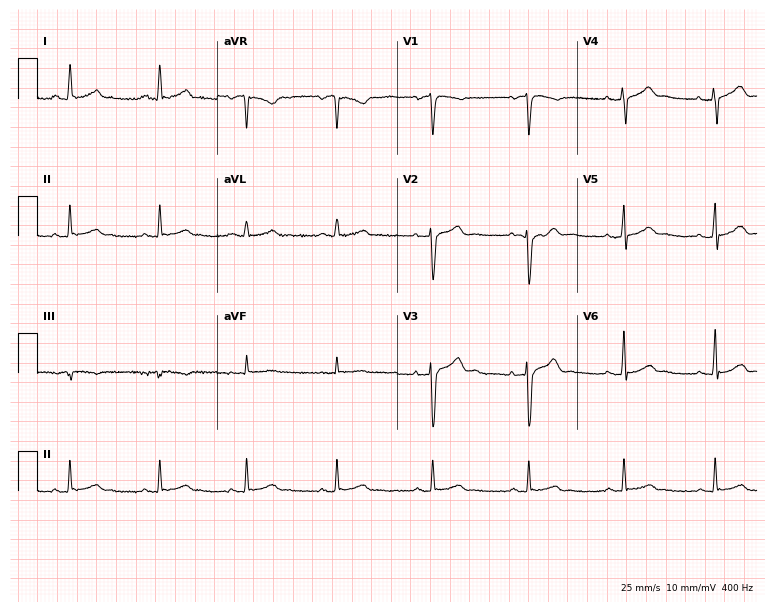
Standard 12-lead ECG recorded from a man, 38 years old (7.3-second recording at 400 Hz). Read as a normal ECG.